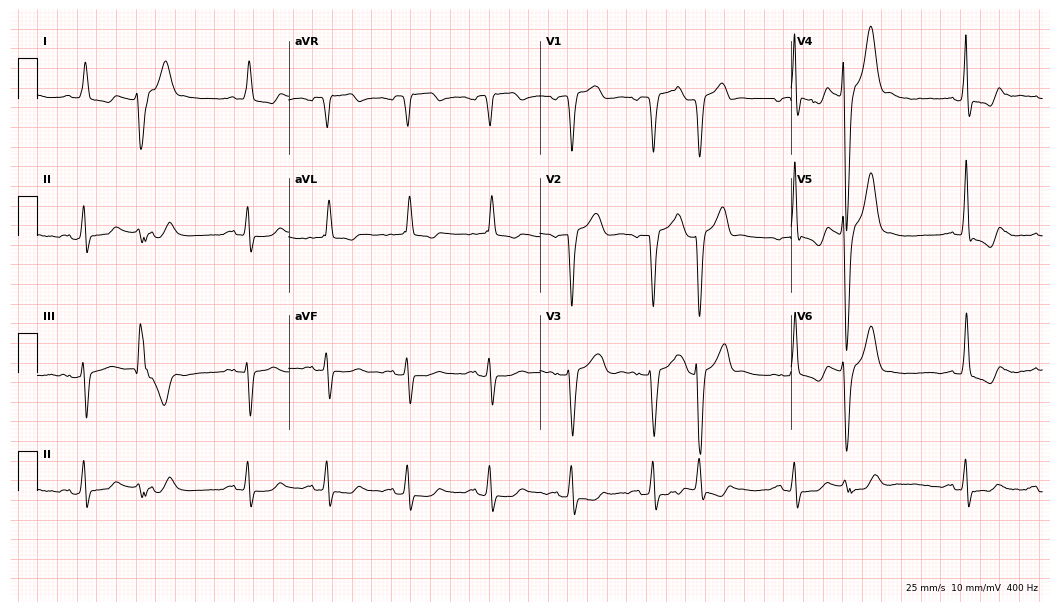
Electrocardiogram (10.2-second recording at 400 Hz), an 82-year-old woman. Of the six screened findings (first-degree AV block, right bundle branch block, left bundle branch block, sinus bradycardia, atrial fibrillation, sinus tachycardia), none is recorded. Other findings, if any, are not listed.